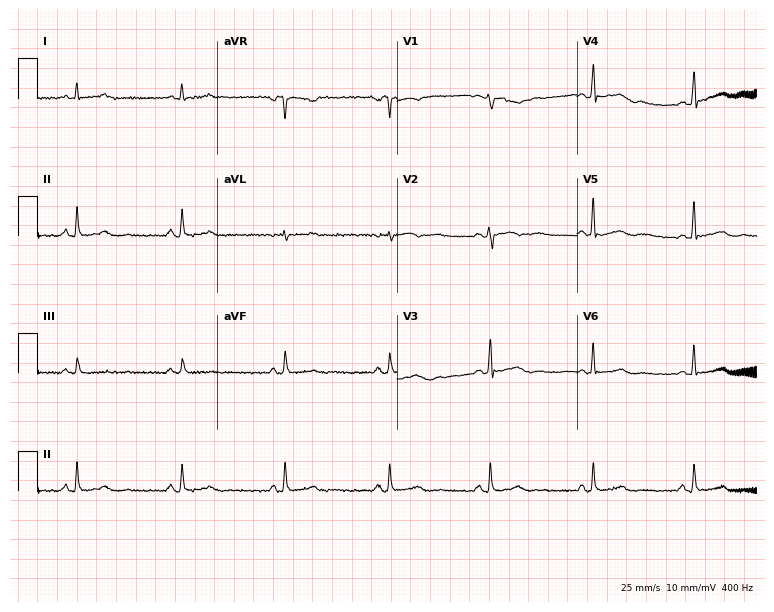
12-lead ECG from a female patient, 37 years old. Screened for six findings — first-degree AV block, right bundle branch block, left bundle branch block, sinus bradycardia, atrial fibrillation, sinus tachycardia — none is recorded. Other findings, if any, are not listed.